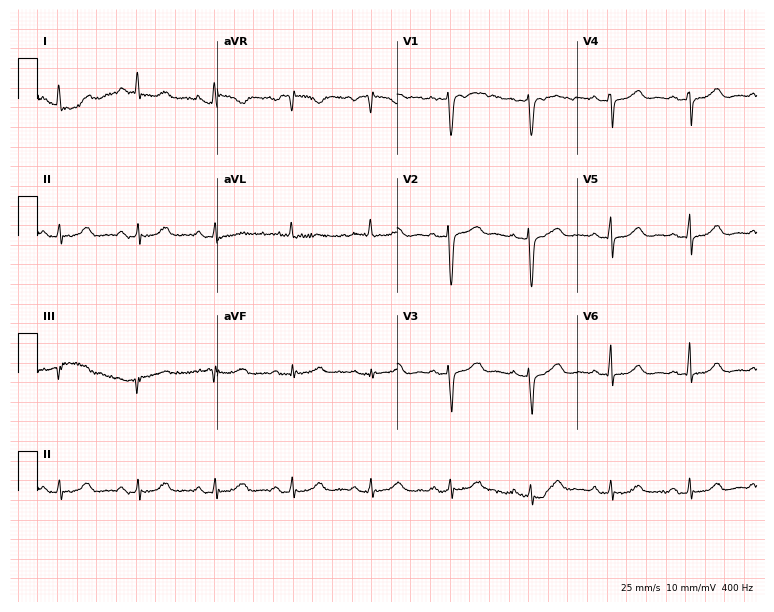
ECG (7.3-second recording at 400 Hz) — a 62-year-old female patient. Labelled as a normal ECG.